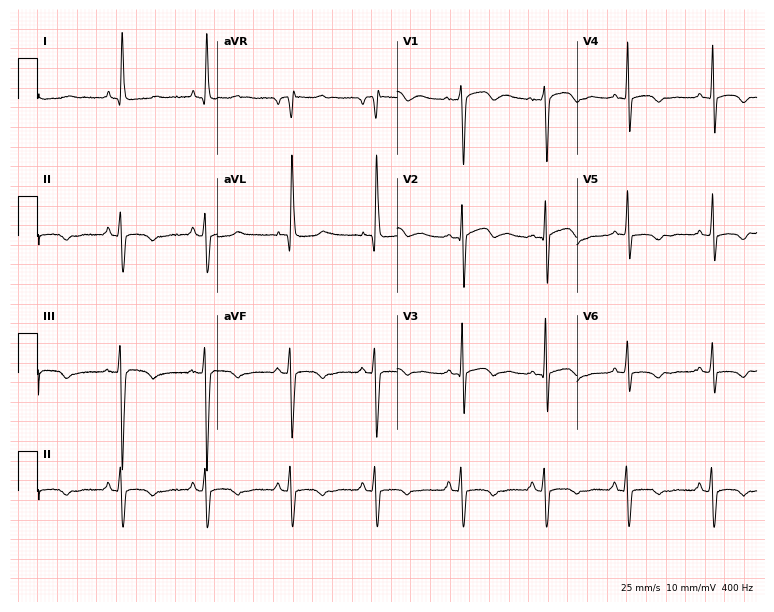
ECG (7.3-second recording at 400 Hz) — a female patient, 63 years old. Screened for six findings — first-degree AV block, right bundle branch block, left bundle branch block, sinus bradycardia, atrial fibrillation, sinus tachycardia — none is recorded.